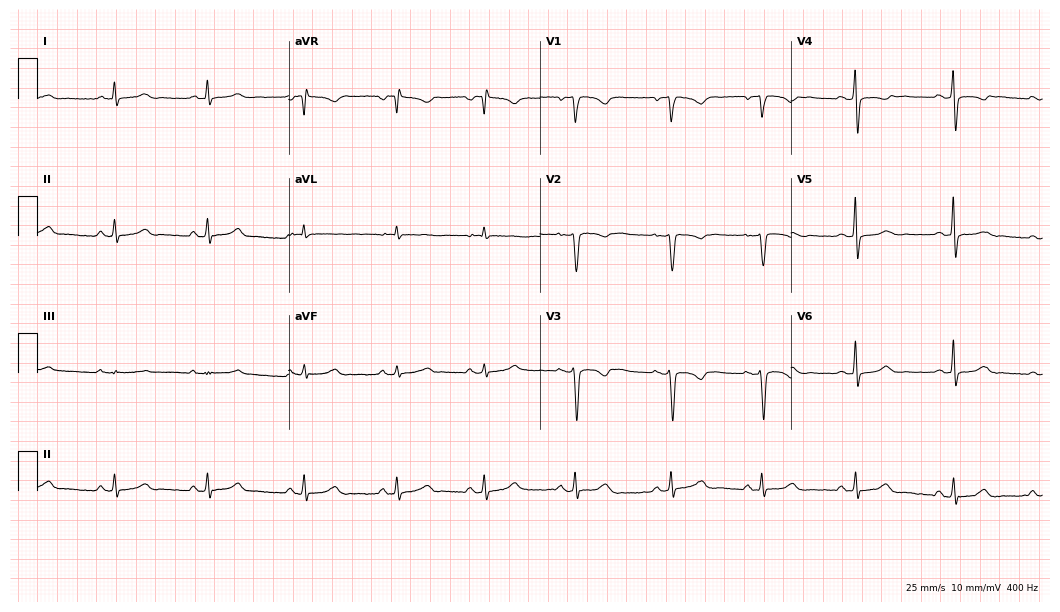
12-lead ECG from a female, 39 years old. No first-degree AV block, right bundle branch block, left bundle branch block, sinus bradycardia, atrial fibrillation or sinus tachycardia recorded for this tracing. Findings outside these six are not listed.